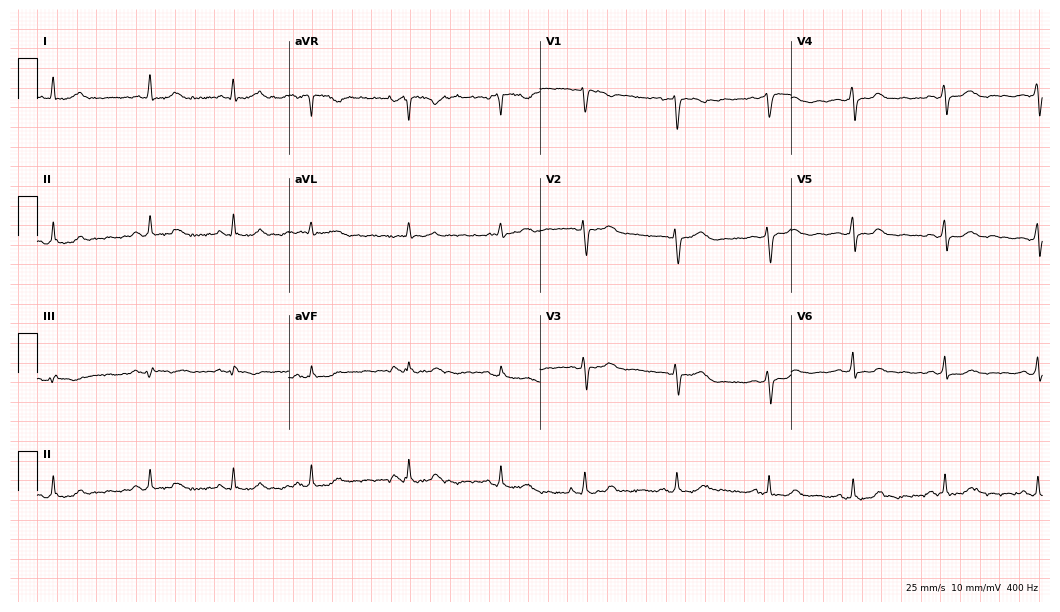
12-lead ECG from a 55-year-old female. Recorded interpretation: within normal limits.